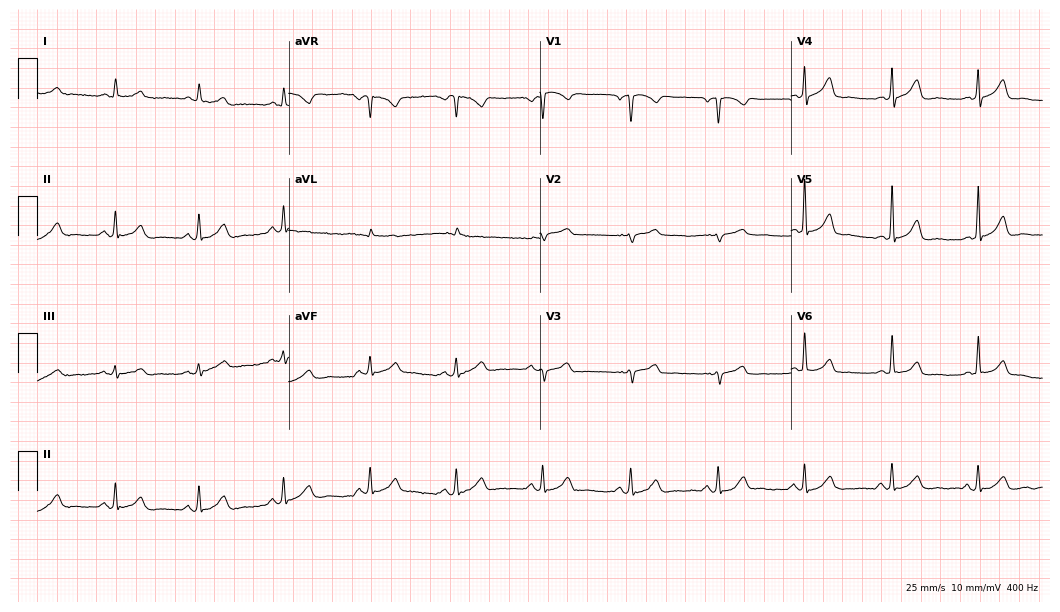
Electrocardiogram (10.2-second recording at 400 Hz), a male patient, 67 years old. Overall reading on record: normal ECG.